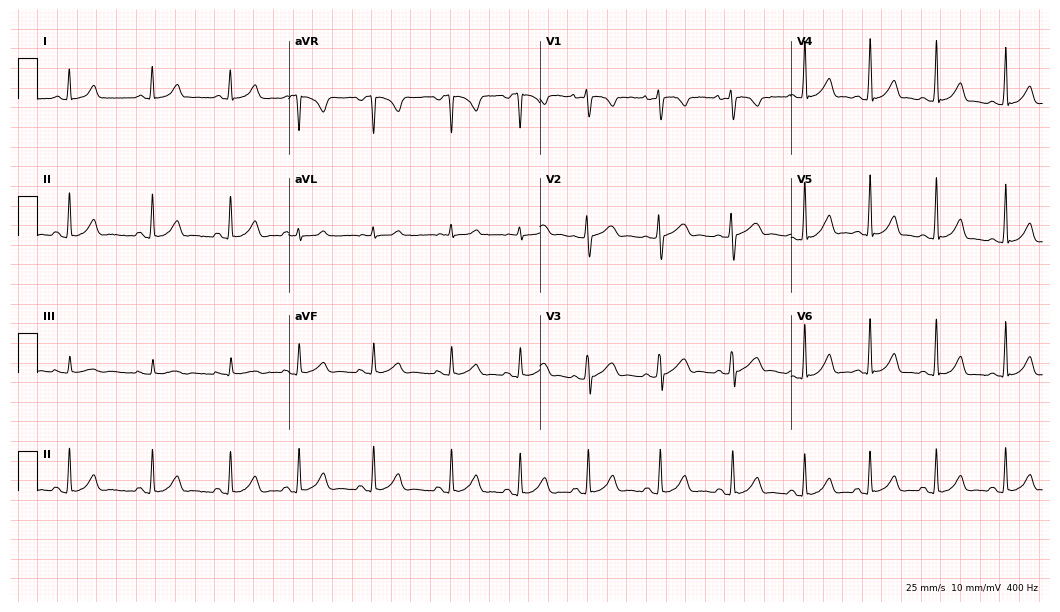
12-lead ECG from a 27-year-old woman. Recorded interpretation: within normal limits.